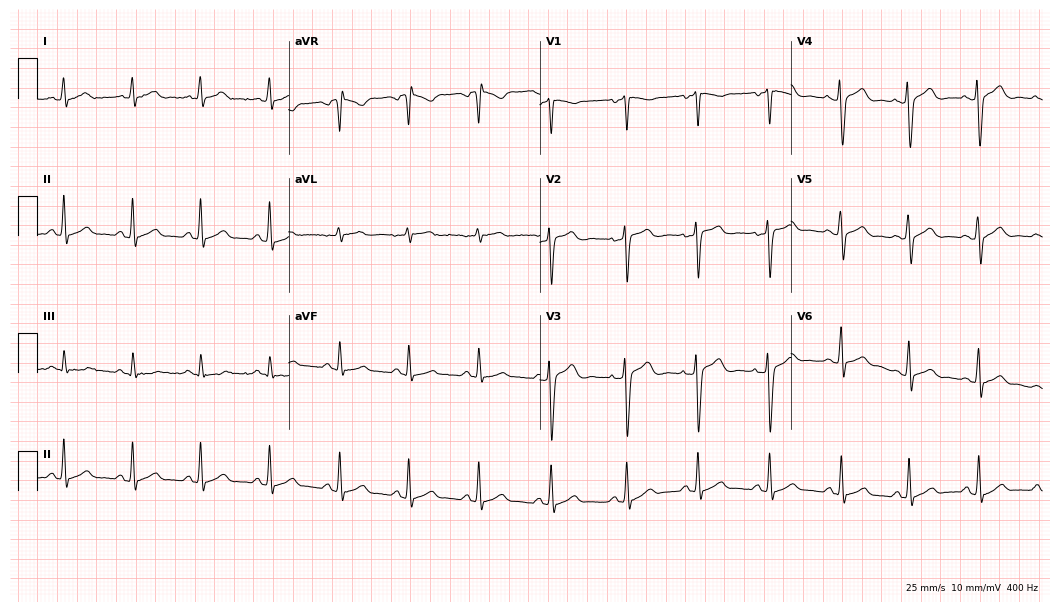
12-lead ECG (10.2-second recording at 400 Hz) from a 28-year-old man. Labelled as a normal ECG.